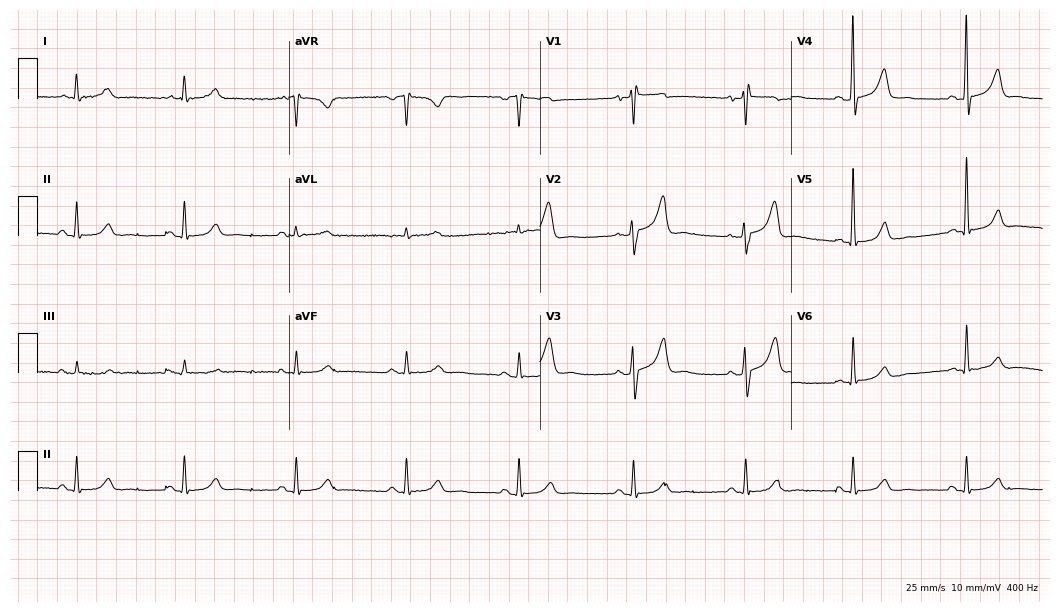
ECG — an 81-year-old man. Screened for six findings — first-degree AV block, right bundle branch block, left bundle branch block, sinus bradycardia, atrial fibrillation, sinus tachycardia — none is recorded. Findings outside these six are not listed.